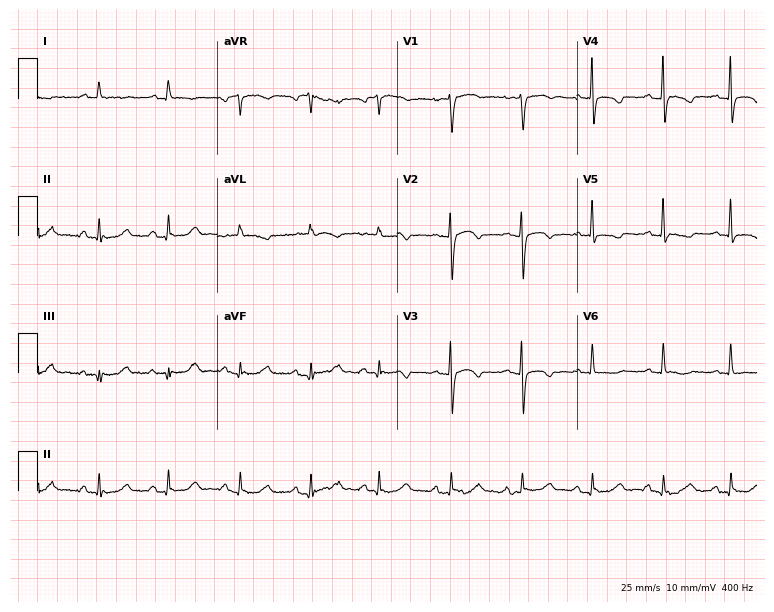
12-lead ECG (7.3-second recording at 400 Hz) from a female, 83 years old. Screened for six findings — first-degree AV block, right bundle branch block, left bundle branch block, sinus bradycardia, atrial fibrillation, sinus tachycardia — none is recorded.